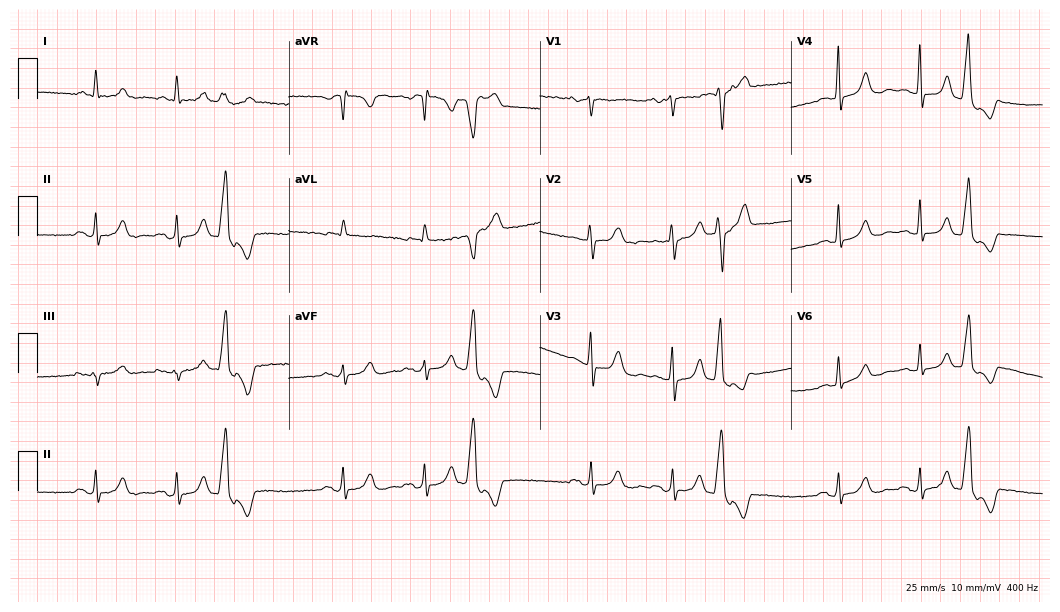
Standard 12-lead ECG recorded from a female patient, 78 years old. None of these six findings is recorded: first-degree AV block, right bundle branch block, left bundle branch block, sinus bradycardia, atrial fibrillation, sinus tachycardia. Only these six findings were labelled.